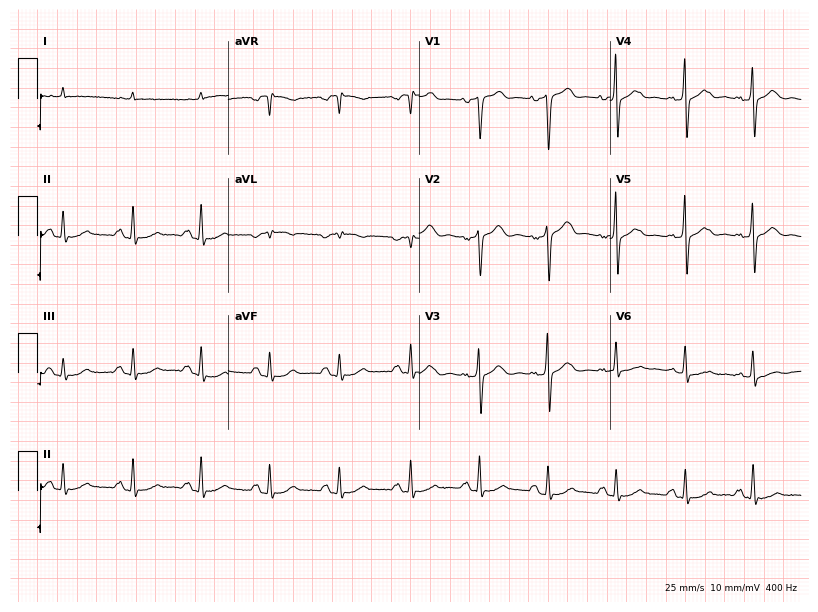
Resting 12-lead electrocardiogram (7.8-second recording at 400 Hz). Patient: a 69-year-old woman. Read as a normal ECG.